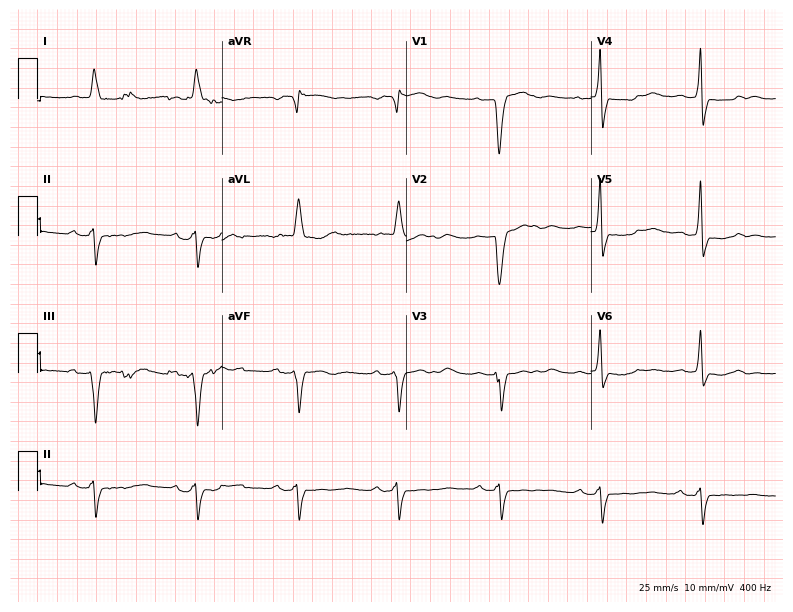
Standard 12-lead ECG recorded from a 75-year-old female (7.5-second recording at 400 Hz). None of these six findings is recorded: first-degree AV block, right bundle branch block, left bundle branch block, sinus bradycardia, atrial fibrillation, sinus tachycardia.